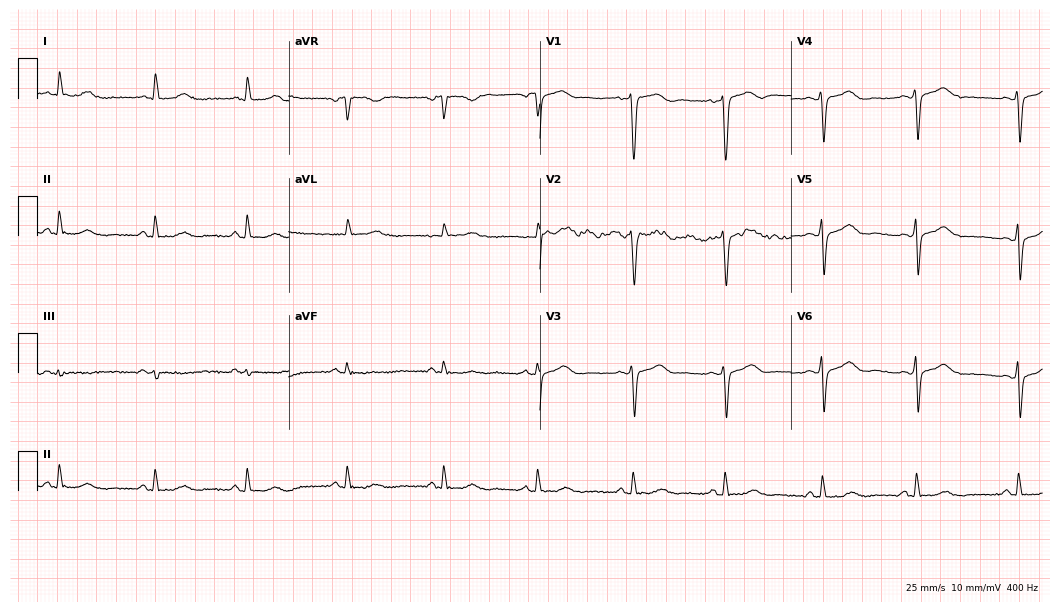
Resting 12-lead electrocardiogram. Patient: a female, 80 years old. None of these six findings is recorded: first-degree AV block, right bundle branch block, left bundle branch block, sinus bradycardia, atrial fibrillation, sinus tachycardia. Other findings, if any, are not listed.